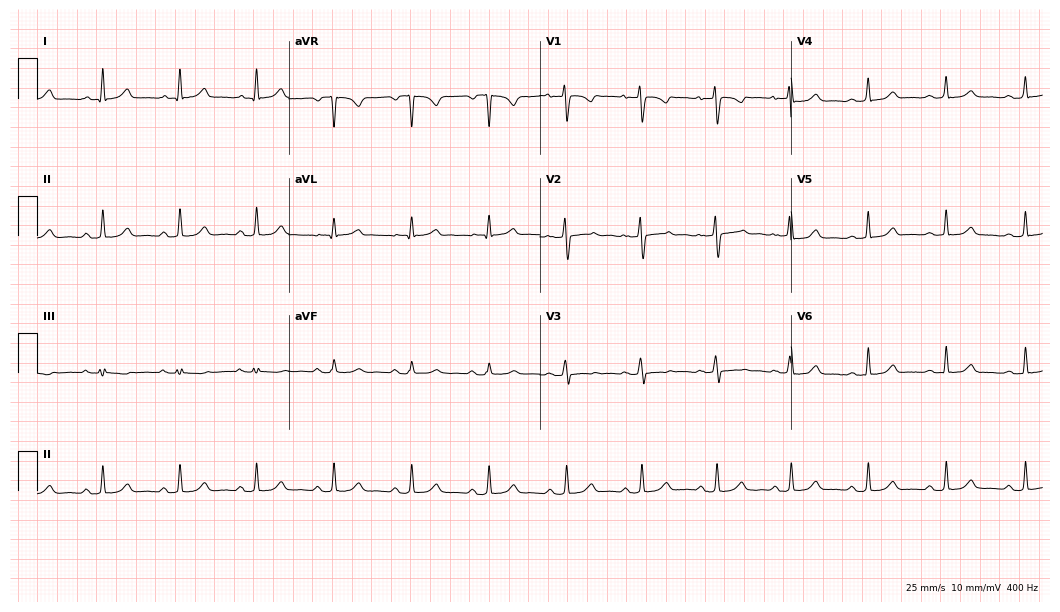
Resting 12-lead electrocardiogram (10.2-second recording at 400 Hz). Patient: a female, 39 years old. None of these six findings is recorded: first-degree AV block, right bundle branch block, left bundle branch block, sinus bradycardia, atrial fibrillation, sinus tachycardia.